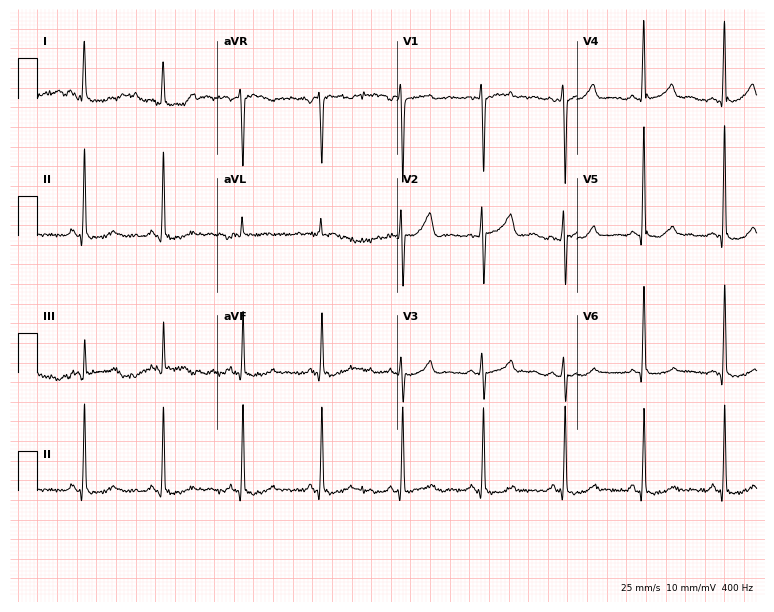
Standard 12-lead ECG recorded from a female patient, 38 years old. Read as a normal ECG.